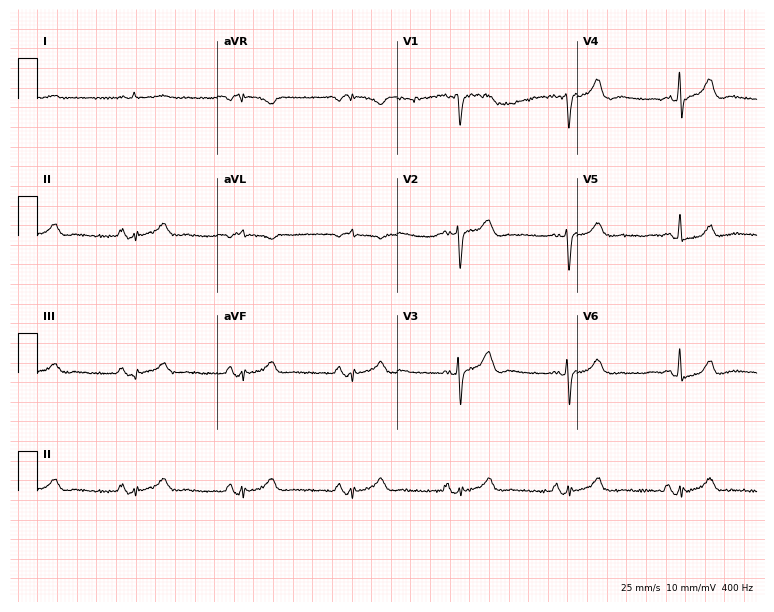
12-lead ECG from a male, 70 years old (7.3-second recording at 400 Hz). No first-degree AV block, right bundle branch block, left bundle branch block, sinus bradycardia, atrial fibrillation or sinus tachycardia recorded for this tracing. Findings outside these six are not listed.